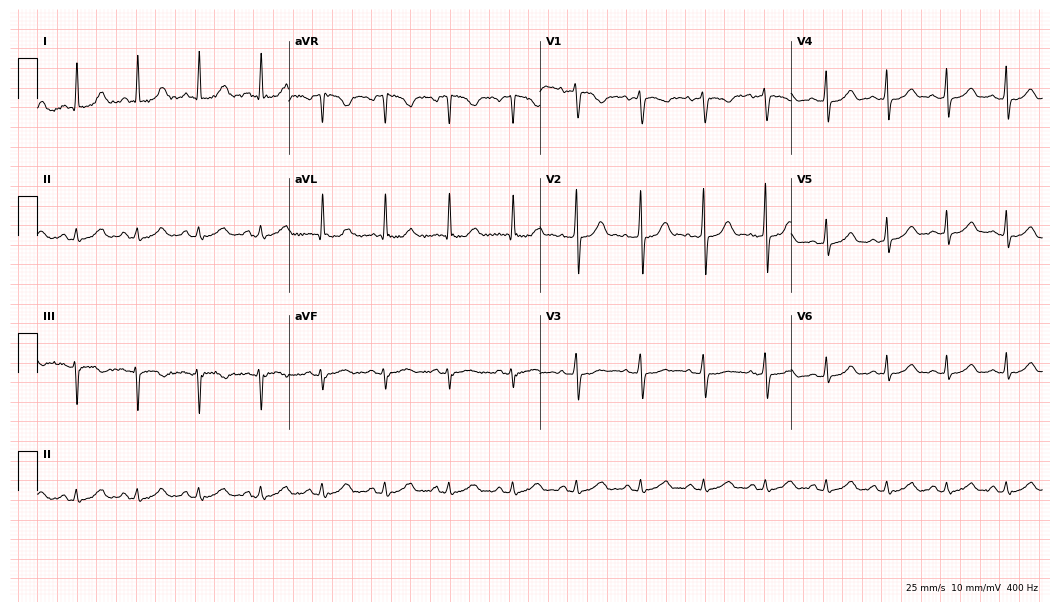
12-lead ECG from a 36-year-old woman (10.2-second recording at 400 Hz). Recorded interpretation: within normal limits.